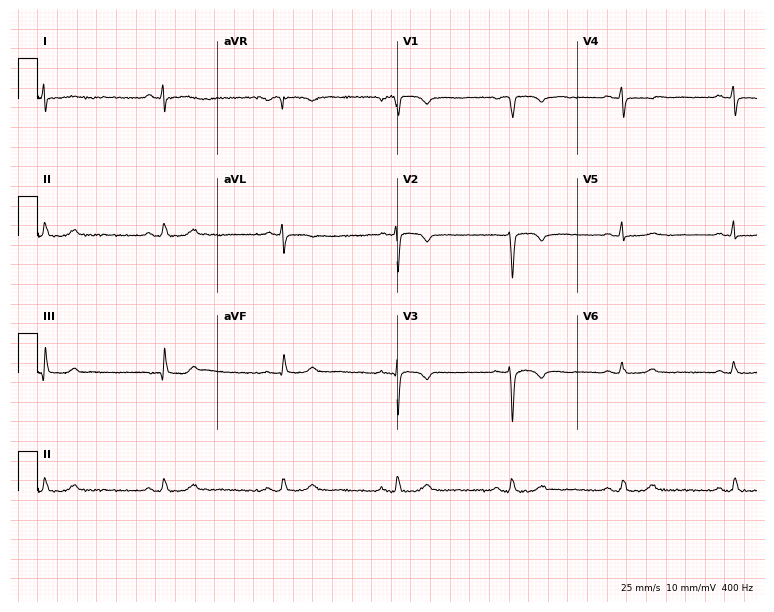
Resting 12-lead electrocardiogram. Patient: a 39-year-old woman. Read as a normal ECG.